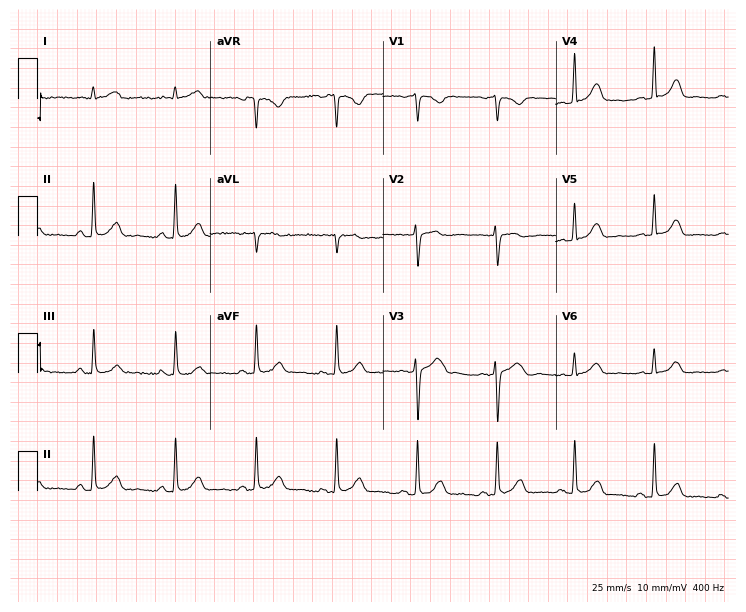
Resting 12-lead electrocardiogram (7-second recording at 400 Hz). Patient: a 32-year-old female. Read as a normal ECG.